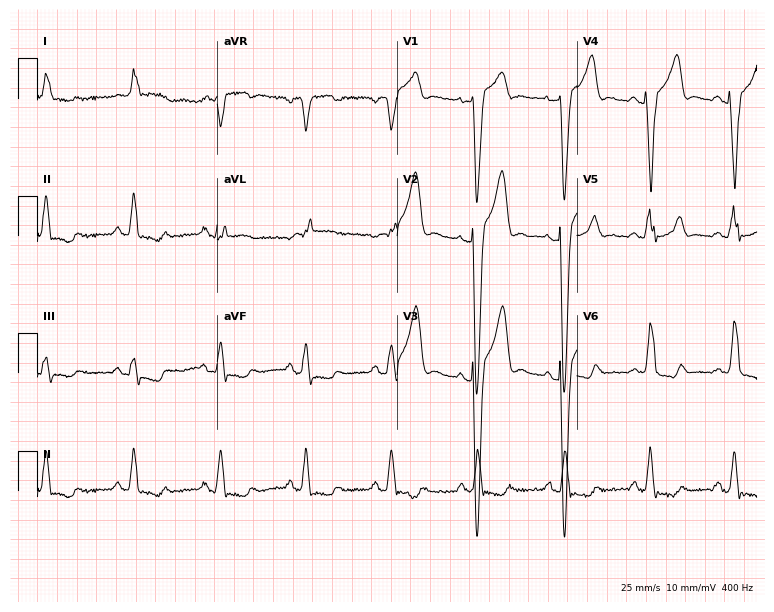
Electrocardiogram, a male patient, 64 years old. Interpretation includes left bundle branch block.